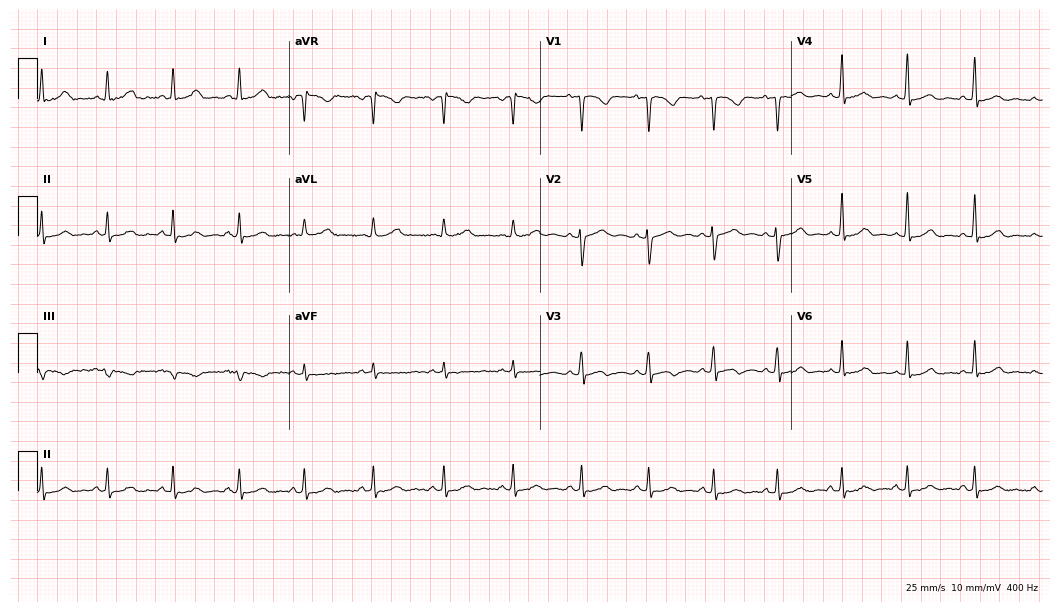
Standard 12-lead ECG recorded from a 29-year-old female patient. Read as a normal ECG.